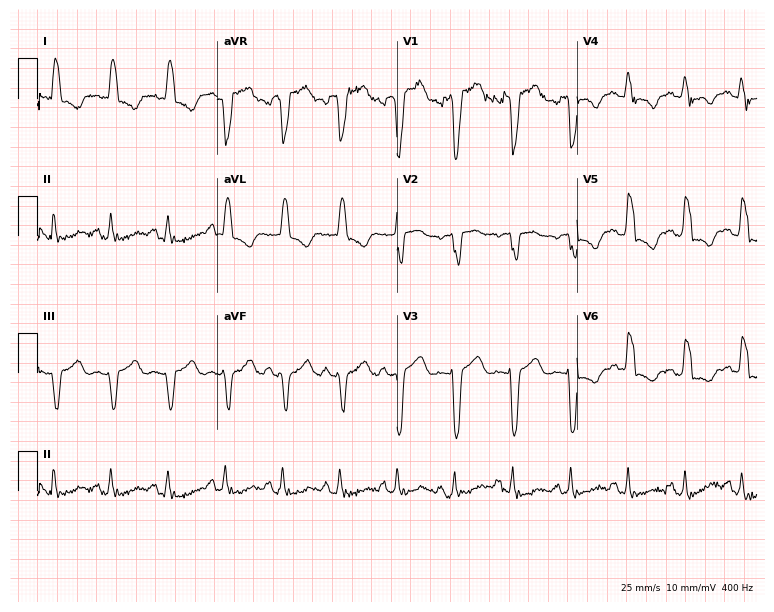
Resting 12-lead electrocardiogram. Patient: a female, 62 years old. The tracing shows left bundle branch block (LBBB), sinus tachycardia (a sinus rate of 100 beats per minute or more).